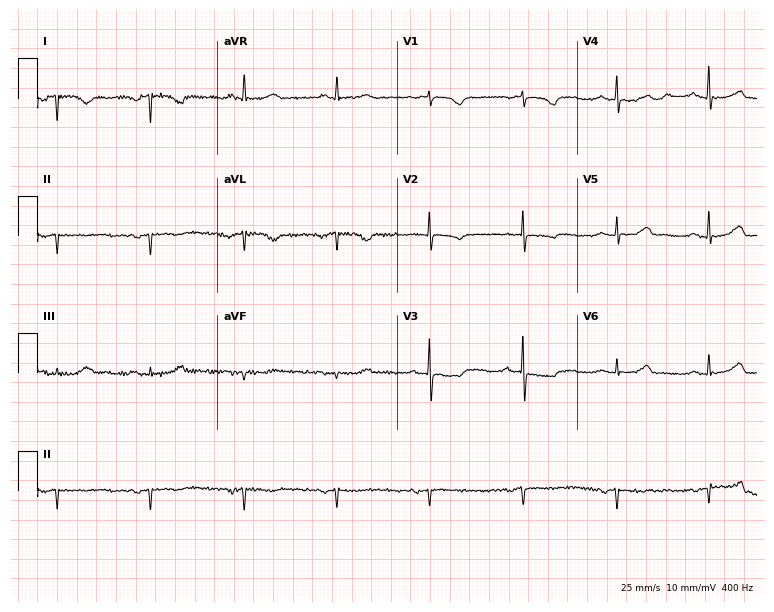
Electrocardiogram, a 75-year-old female. Of the six screened findings (first-degree AV block, right bundle branch block, left bundle branch block, sinus bradycardia, atrial fibrillation, sinus tachycardia), none is recorded.